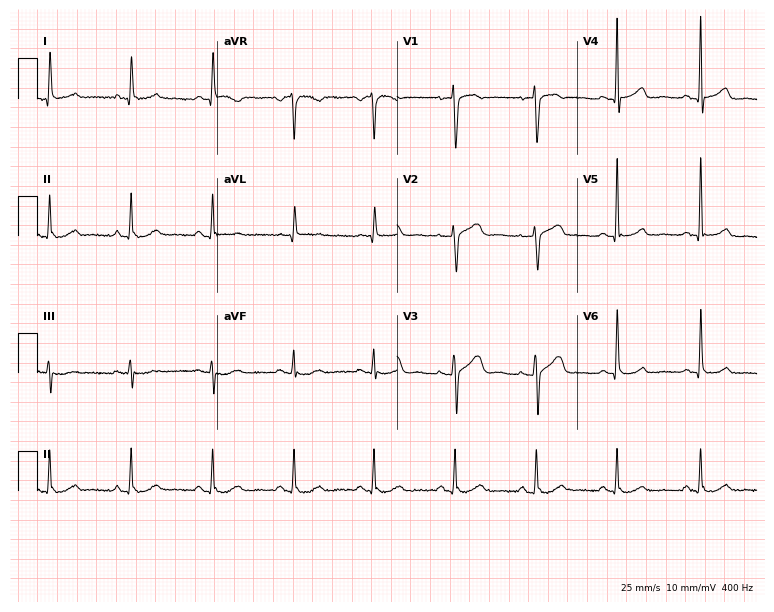
12-lead ECG from a 63-year-old woman. Recorded interpretation: within normal limits.